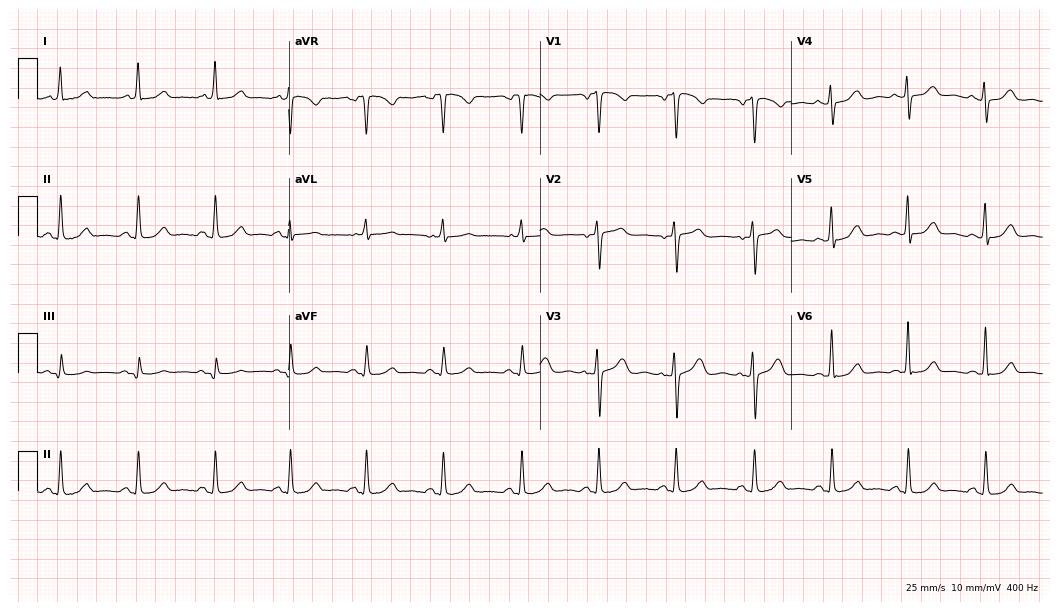
ECG — a 45-year-old female. Labelled as a normal ECG.